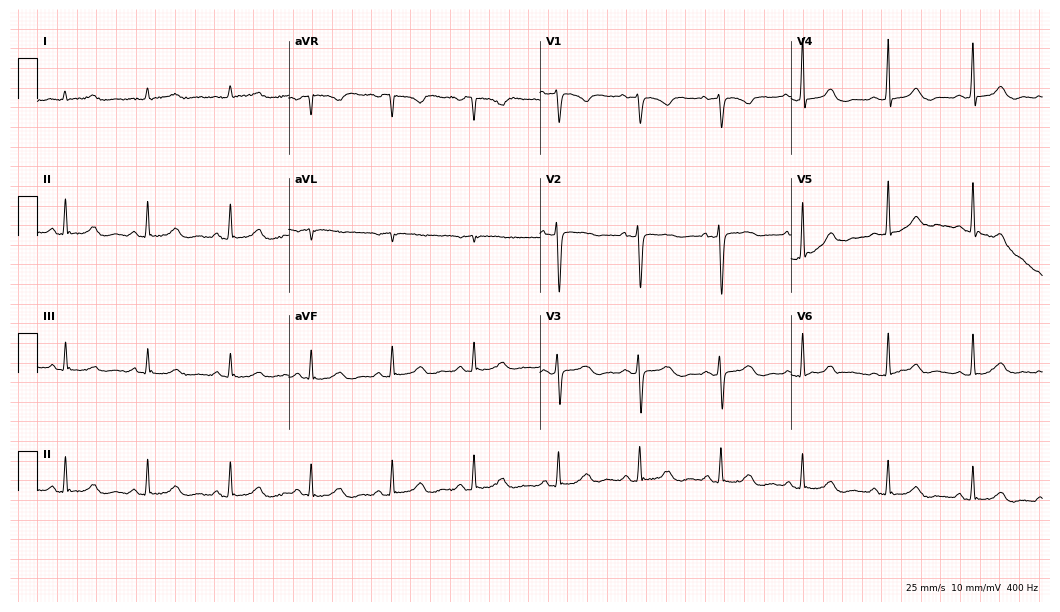
12-lead ECG from a woman, 69 years old (10.2-second recording at 400 Hz). Recorded interpretation: within normal limits.